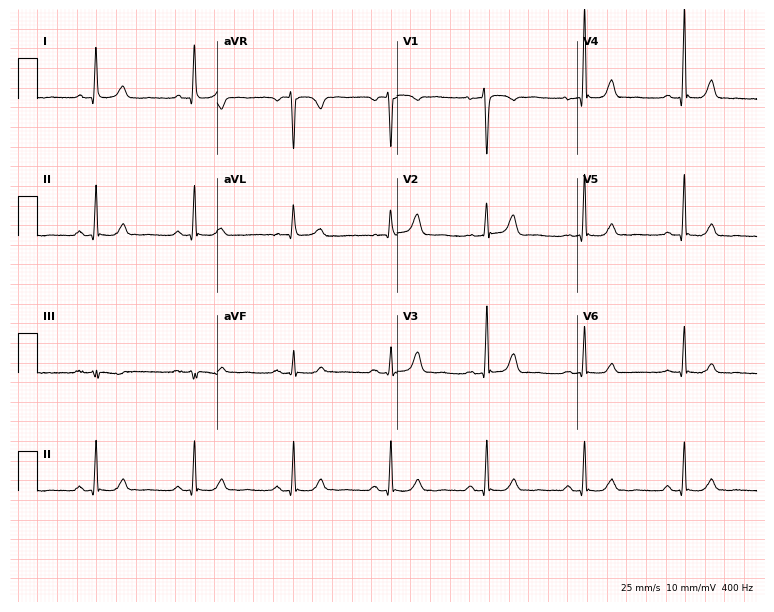
ECG (7.3-second recording at 400 Hz) — a woman, 62 years old. Labelled as a normal ECG.